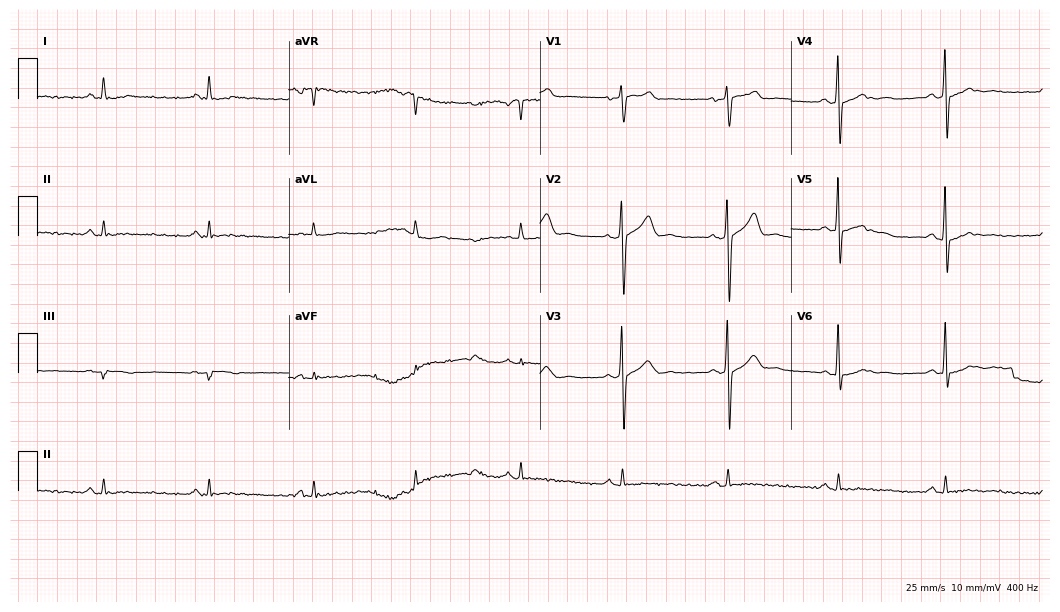
Resting 12-lead electrocardiogram (10.2-second recording at 400 Hz). Patient: a male, 45 years old. Read as a normal ECG.